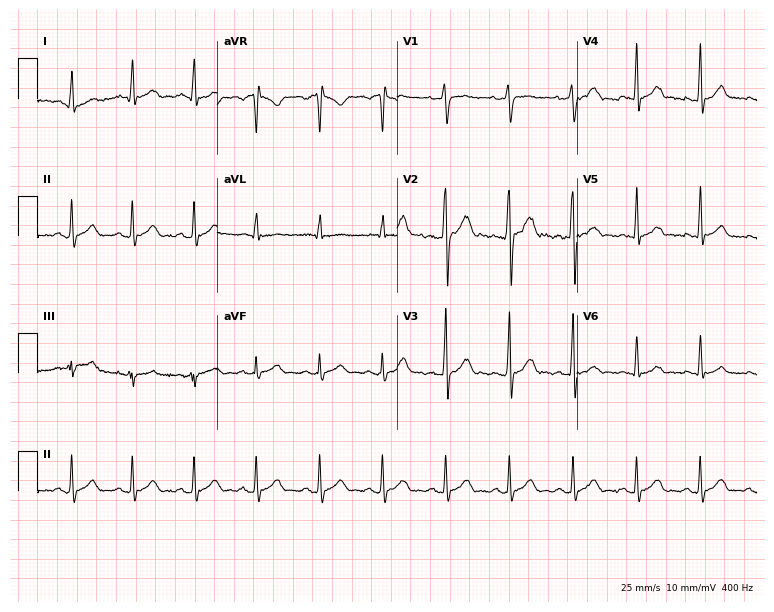
12-lead ECG from a man, 23 years old (7.3-second recording at 400 Hz). Recorded interpretation: within normal limits.